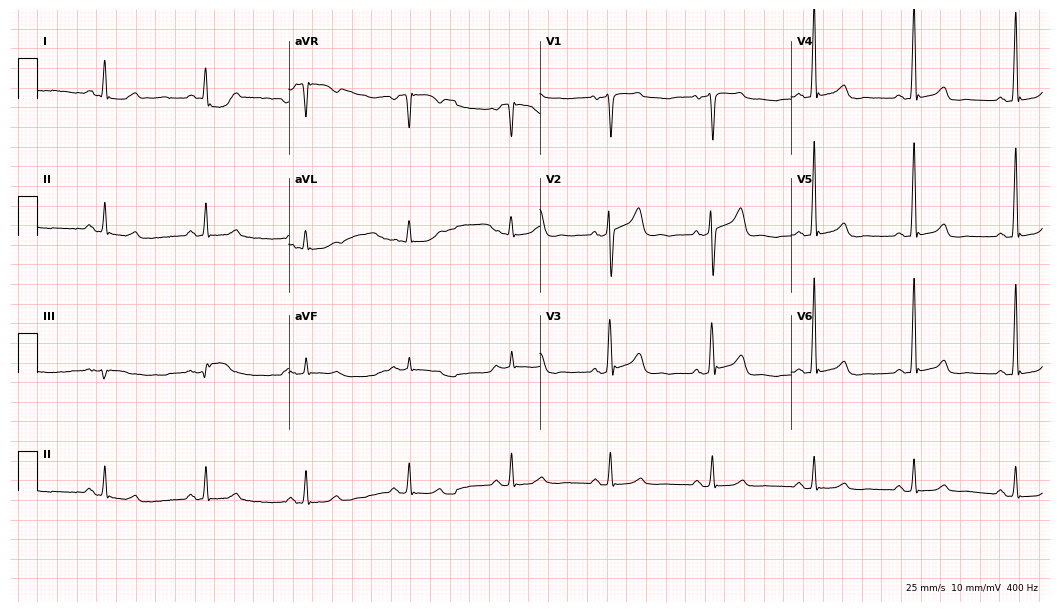
Standard 12-lead ECG recorded from a man, 76 years old. Read as a normal ECG.